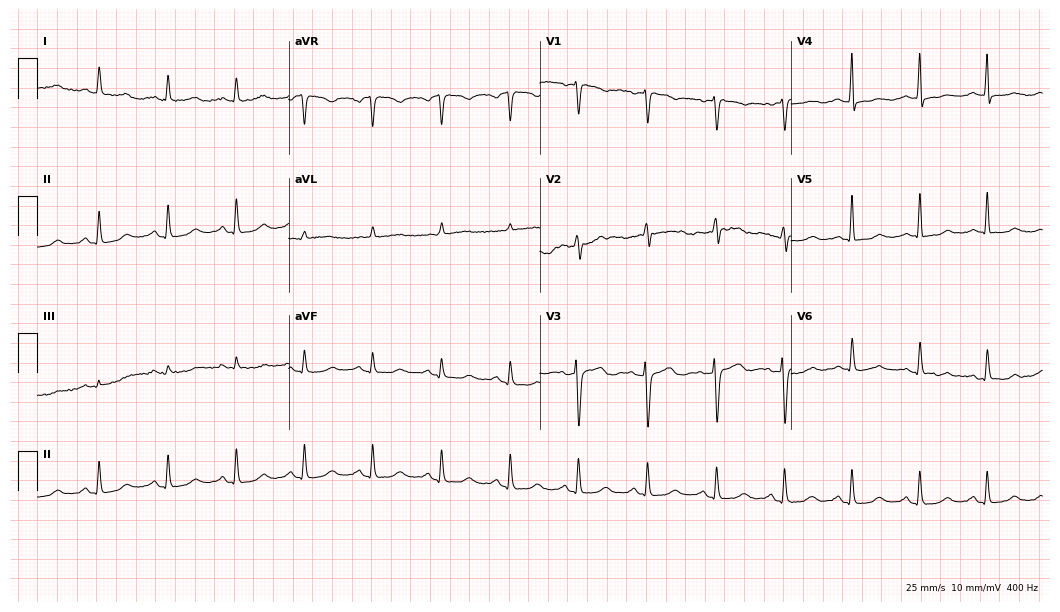
12-lead ECG (10.2-second recording at 400 Hz) from a female patient, 55 years old. Labelled as a normal ECG.